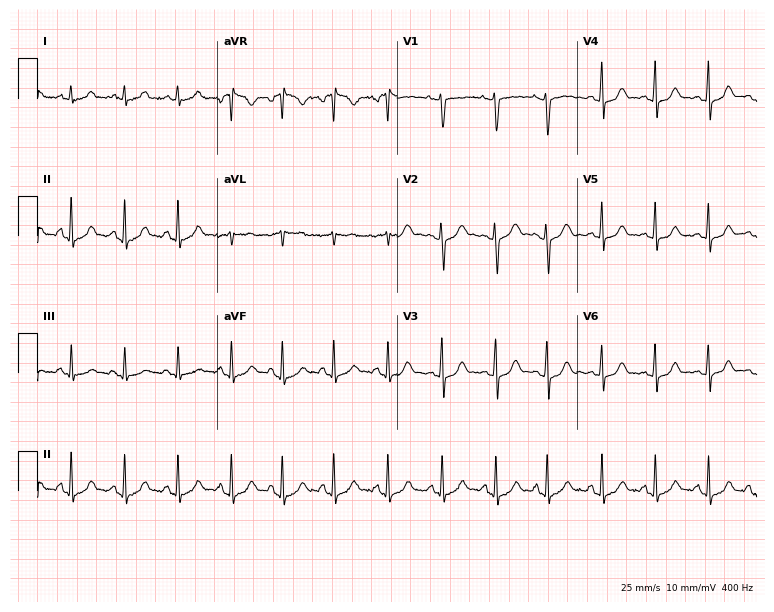
Standard 12-lead ECG recorded from a woman, 19 years old. The tracing shows sinus tachycardia (a sinus rate of 100 beats per minute or more).